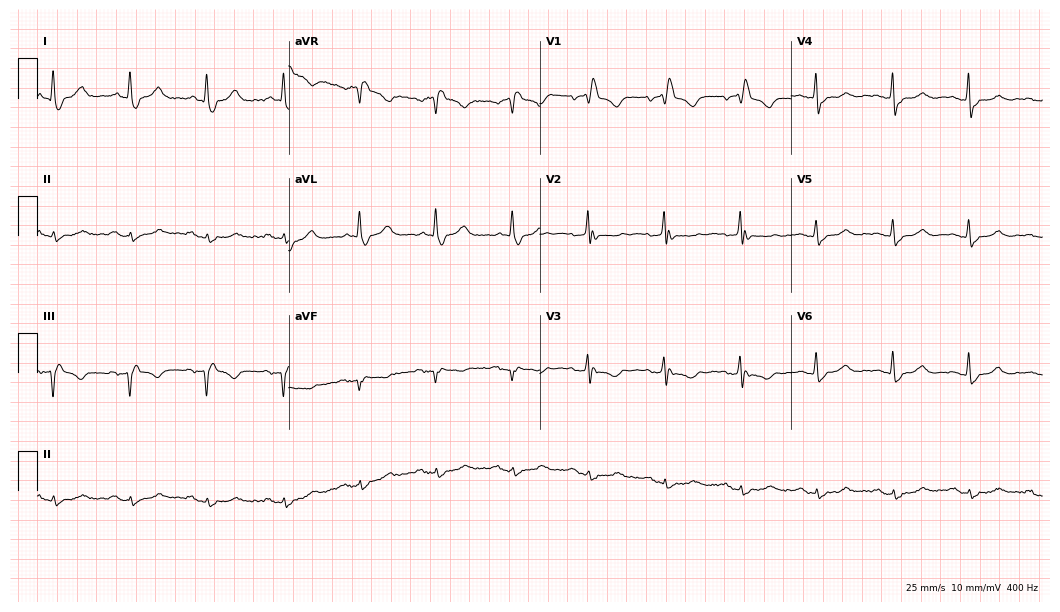
Electrocardiogram (10.2-second recording at 400 Hz), a female patient, 68 years old. Interpretation includes right bundle branch block (RBBB).